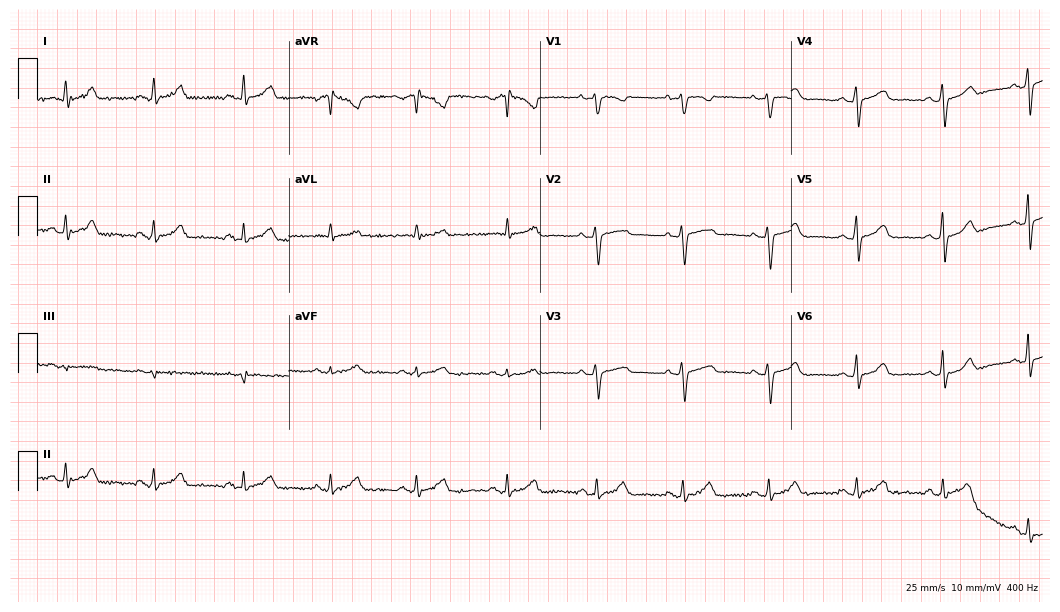
ECG — a 39-year-old female patient. Labelled as a normal ECG.